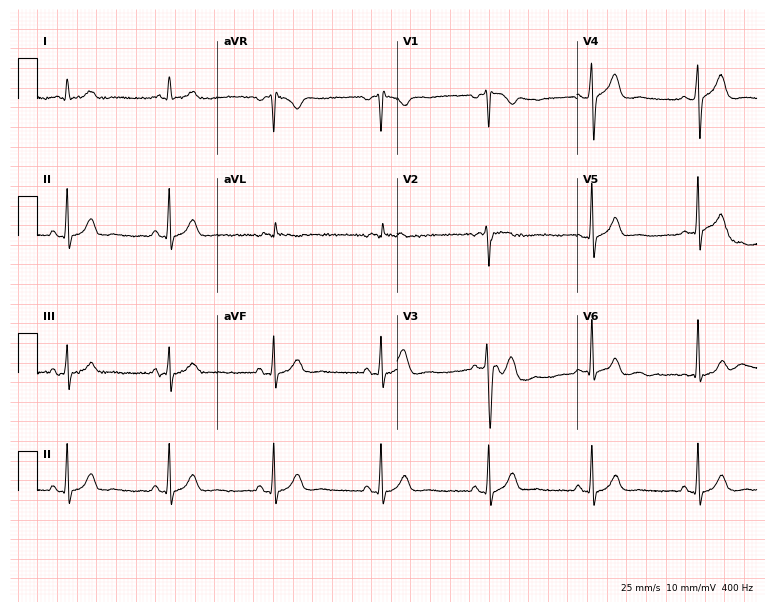
Resting 12-lead electrocardiogram. Patient: a 42-year-old male. Read as a normal ECG.